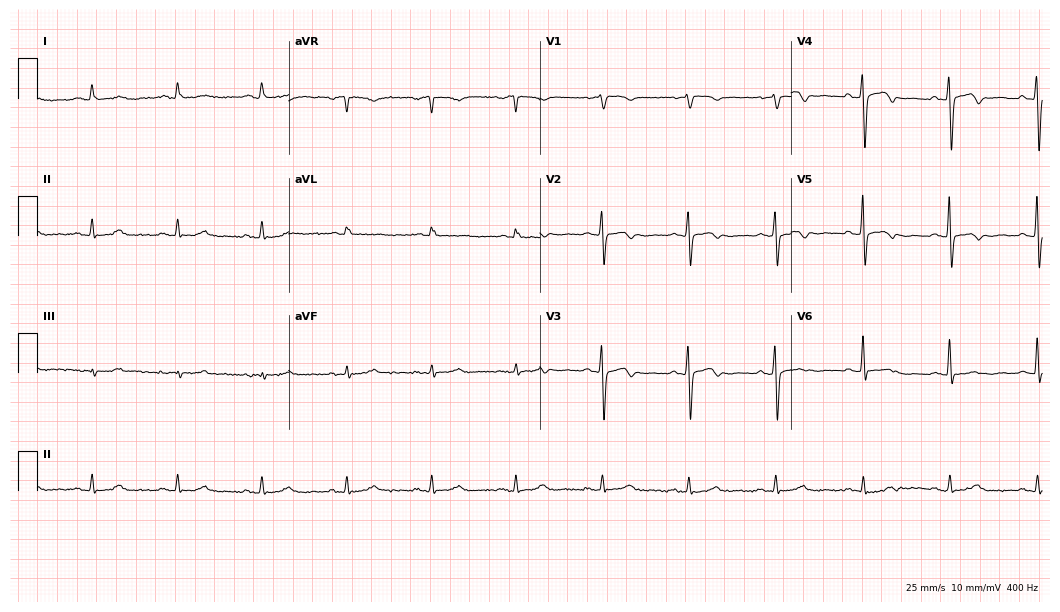
Resting 12-lead electrocardiogram. Patient: a 77-year-old woman. None of these six findings is recorded: first-degree AV block, right bundle branch block, left bundle branch block, sinus bradycardia, atrial fibrillation, sinus tachycardia. Only these six findings were labelled.